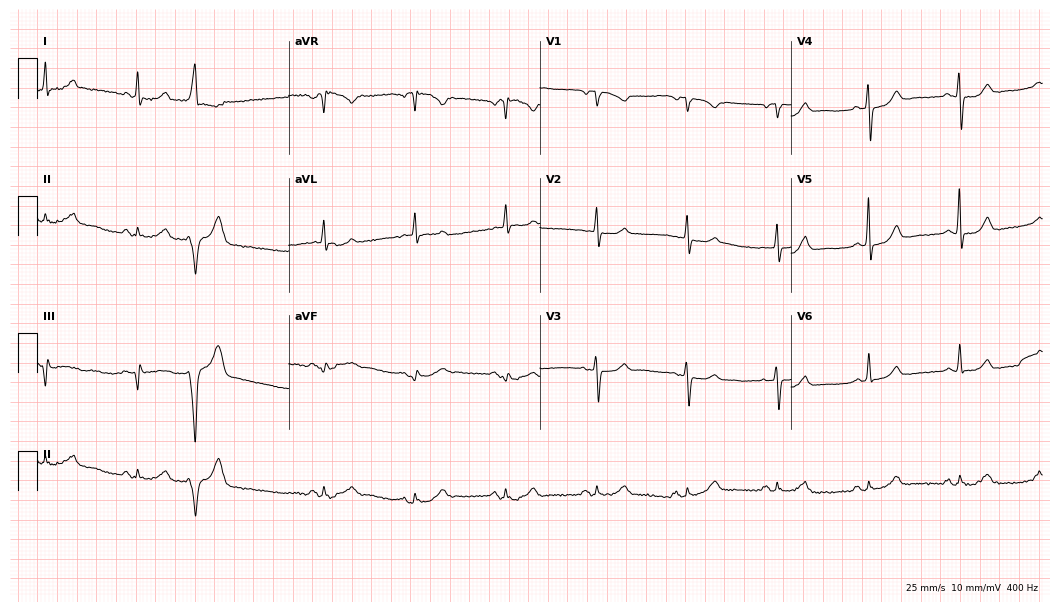
12-lead ECG from a 68-year-old female (10.2-second recording at 400 Hz). Recorded interpretation: within normal limits.